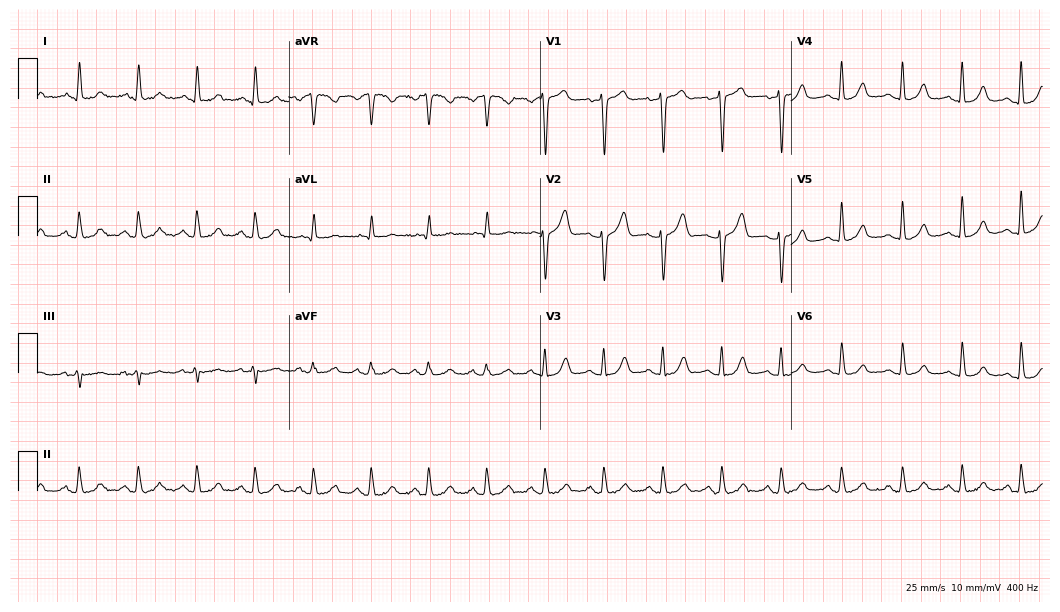
12-lead ECG from a 51-year-old female patient (10.2-second recording at 400 Hz). Shows sinus tachycardia (a sinus rate of 100 beats per minute or more).